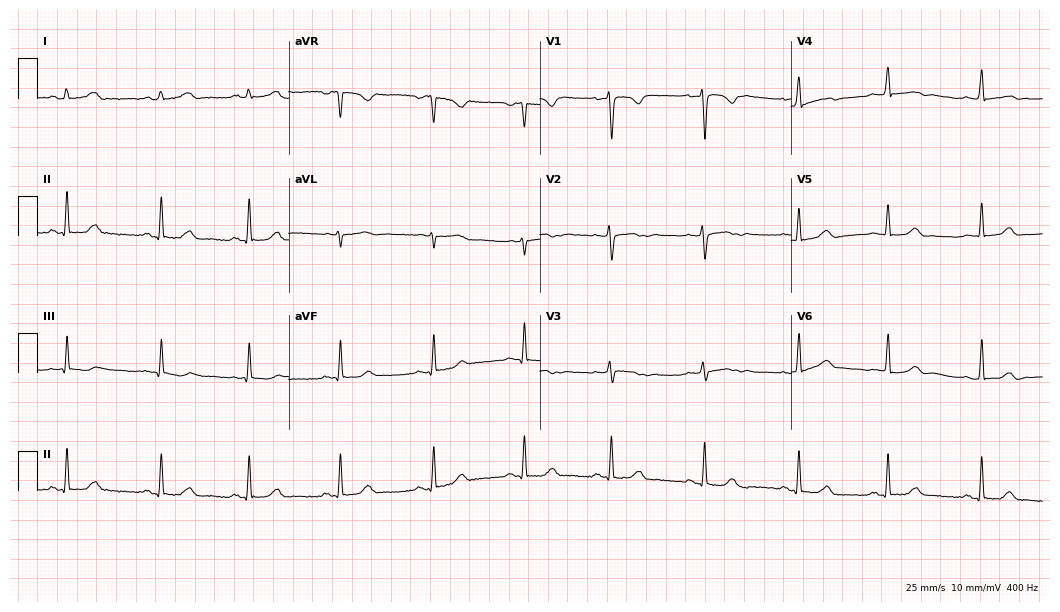
Resting 12-lead electrocardiogram (10.2-second recording at 400 Hz). Patient: a woman, 17 years old. Read as a normal ECG.